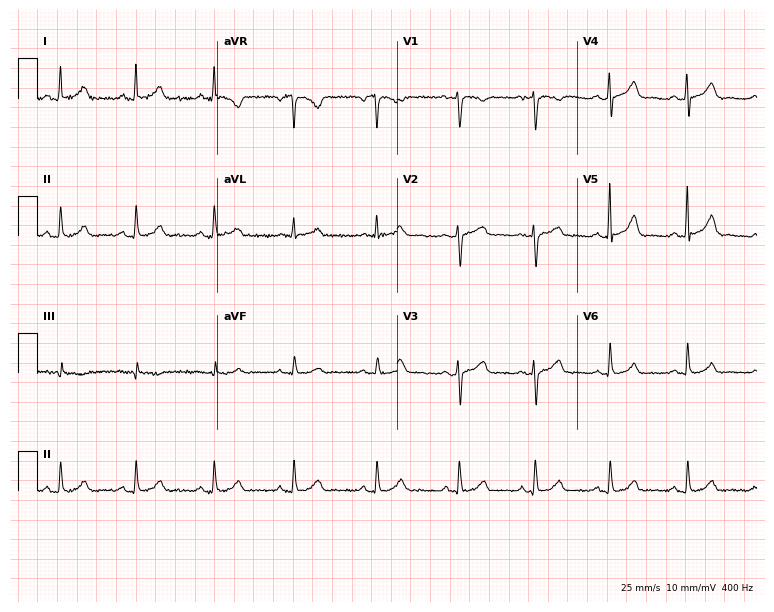
12-lead ECG from a 37-year-old female (7.3-second recording at 400 Hz). No first-degree AV block, right bundle branch block (RBBB), left bundle branch block (LBBB), sinus bradycardia, atrial fibrillation (AF) or sinus tachycardia recorded for this tracing.